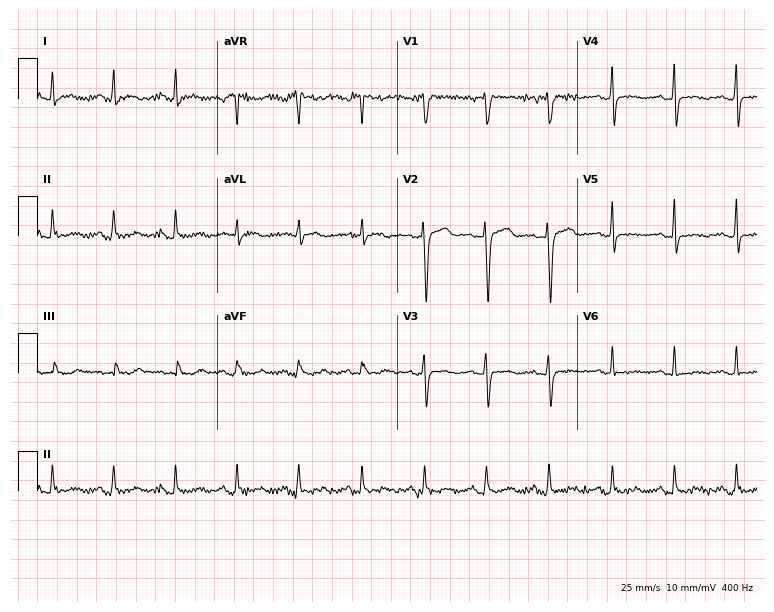
12-lead ECG from a 42-year-old woman. Screened for six findings — first-degree AV block, right bundle branch block, left bundle branch block, sinus bradycardia, atrial fibrillation, sinus tachycardia — none is recorded.